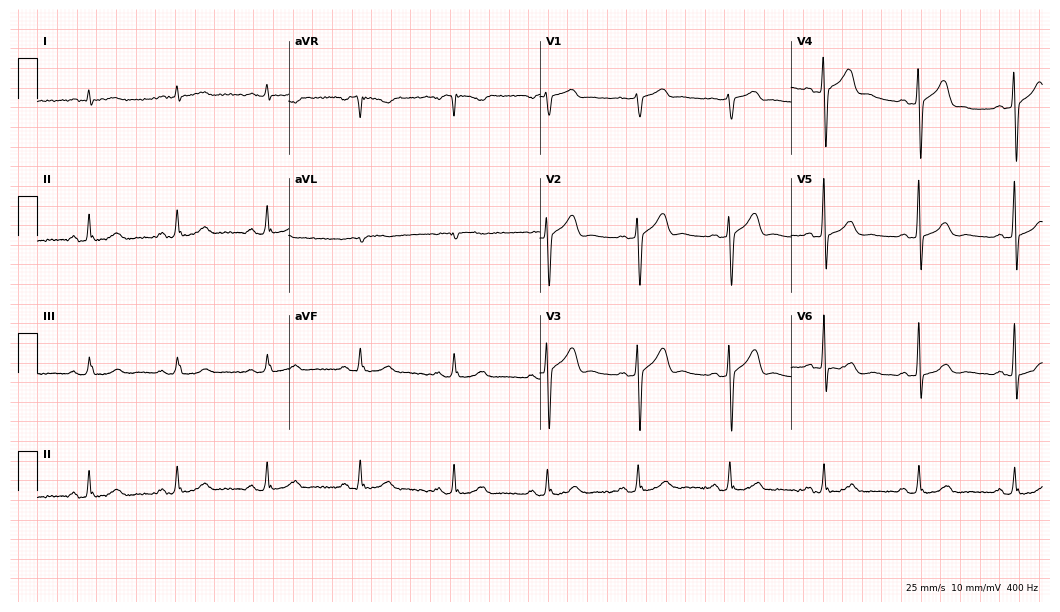
Standard 12-lead ECG recorded from a 53-year-old man (10.2-second recording at 400 Hz). Read as a normal ECG.